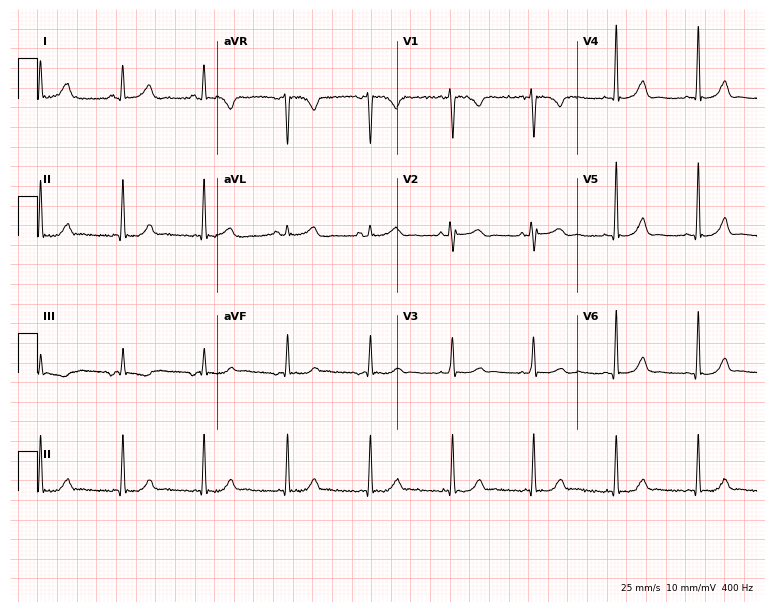
12-lead ECG (7.3-second recording at 400 Hz) from a woman, 42 years old. Labelled as a normal ECG.